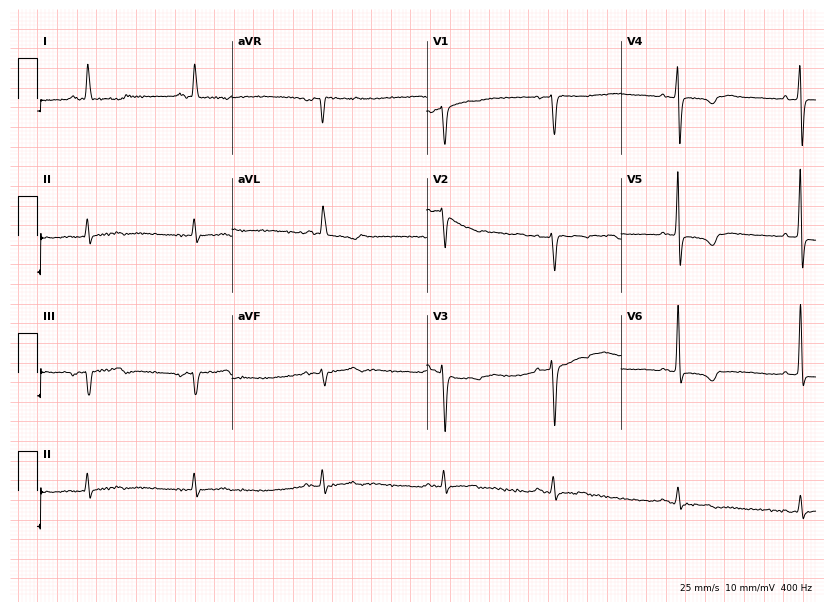
ECG (7.9-second recording at 400 Hz) — a female, 76 years old. Screened for six findings — first-degree AV block, right bundle branch block, left bundle branch block, sinus bradycardia, atrial fibrillation, sinus tachycardia — none is recorded. Other findings, if any, are not listed.